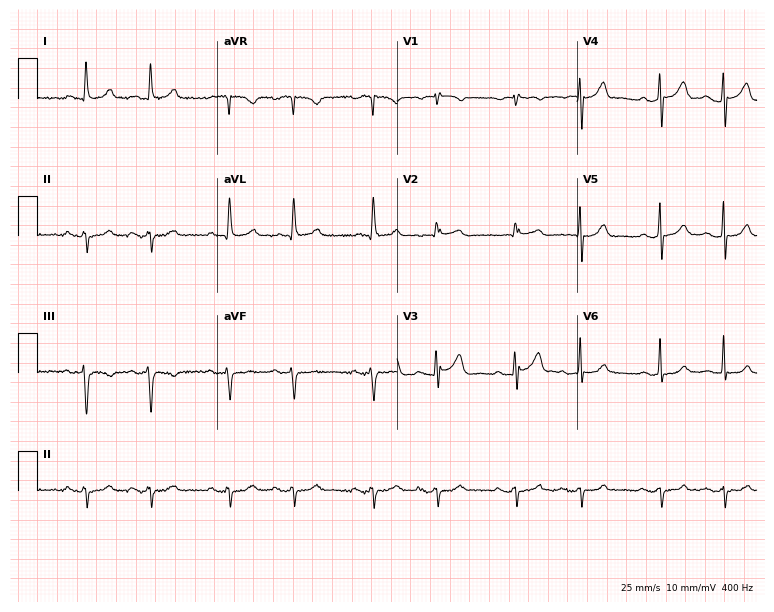
12-lead ECG from a 77-year-old man. No first-degree AV block, right bundle branch block, left bundle branch block, sinus bradycardia, atrial fibrillation or sinus tachycardia recorded for this tracing. Other findings, if any, are not listed.